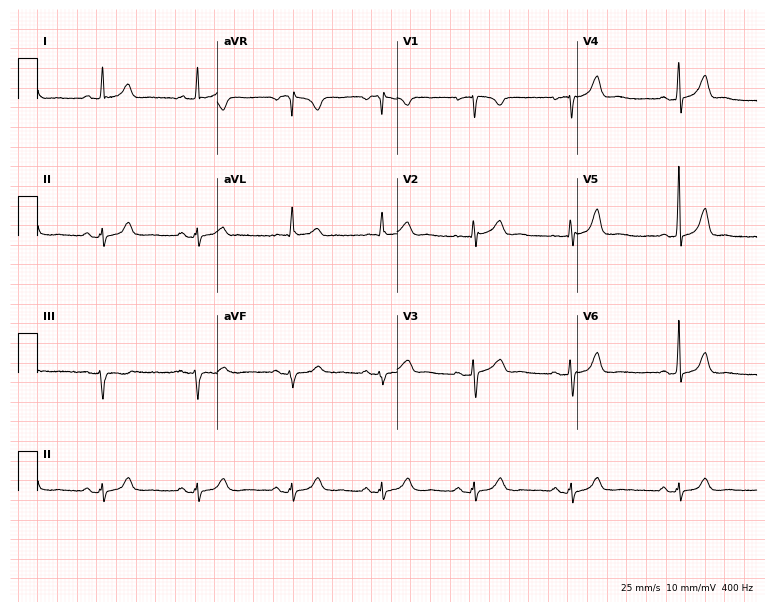
Resting 12-lead electrocardiogram (7.3-second recording at 400 Hz). Patient: a 47-year-old female. Read as a normal ECG.